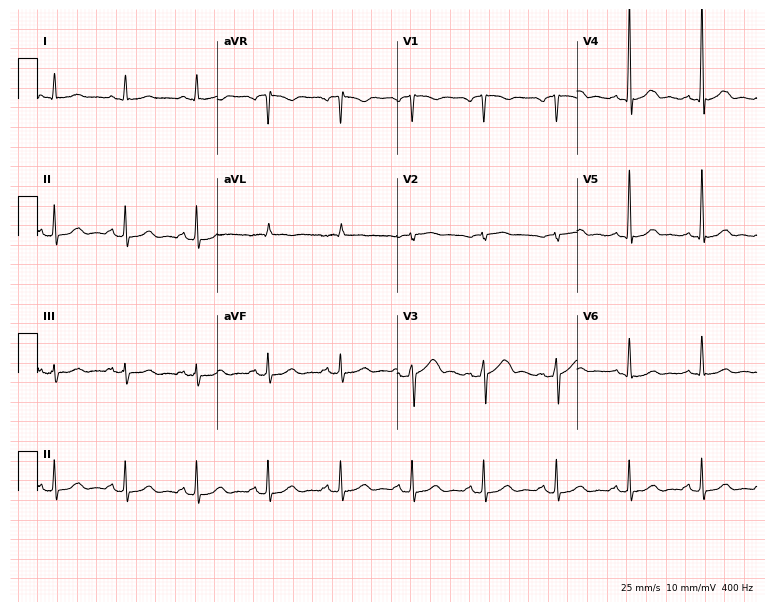
ECG — a male patient, 70 years old. Labelled as a normal ECG.